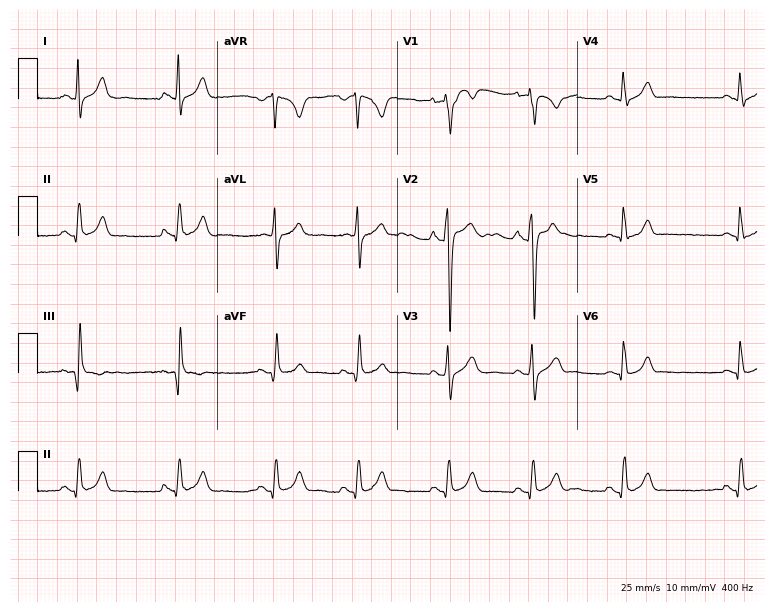
Electrocardiogram, a man, 25 years old. Overall reading on record: normal ECG.